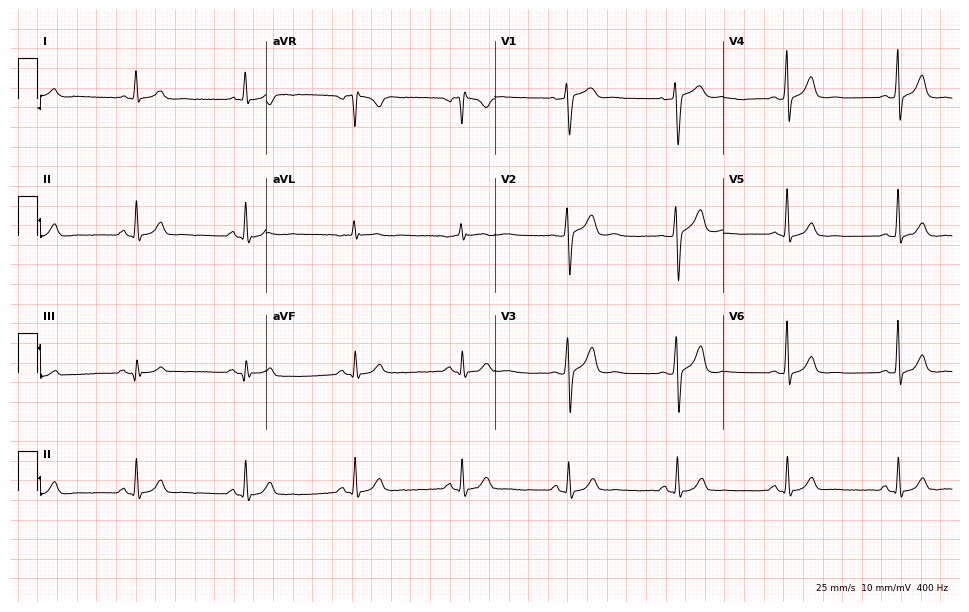
Electrocardiogram (9.3-second recording at 400 Hz), a male patient, 53 years old. Of the six screened findings (first-degree AV block, right bundle branch block, left bundle branch block, sinus bradycardia, atrial fibrillation, sinus tachycardia), none is recorded.